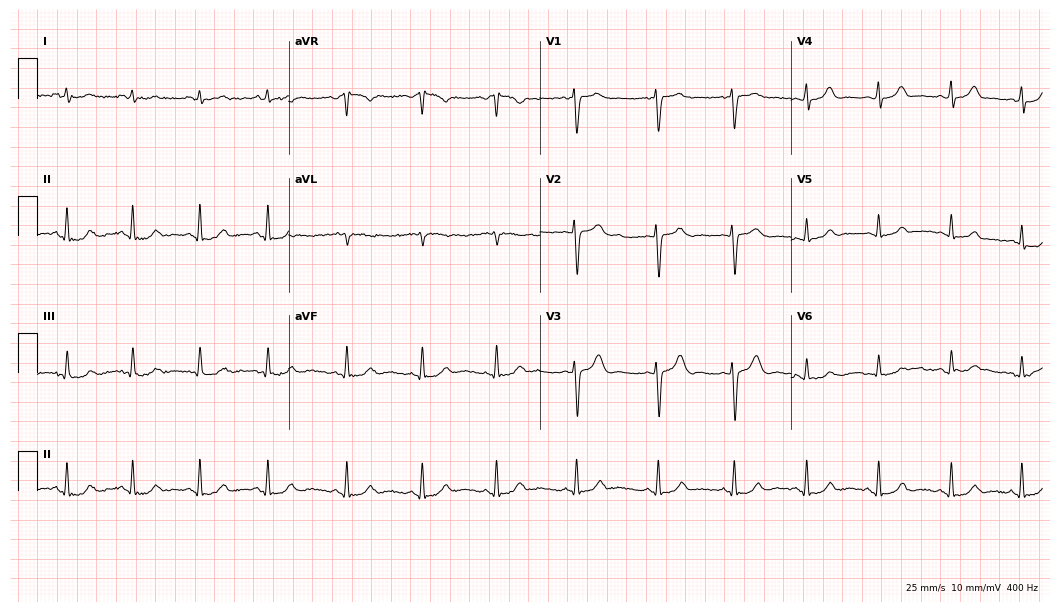
12-lead ECG from a woman, 21 years old (10.2-second recording at 400 Hz). Recorded interpretation: within normal limits.